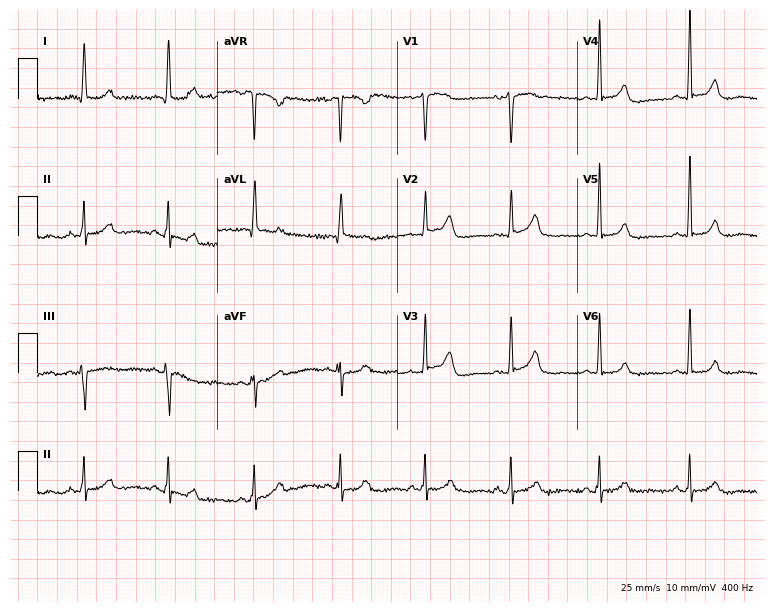
Electrocardiogram (7.3-second recording at 400 Hz), a 43-year-old female patient. Overall reading on record: normal ECG.